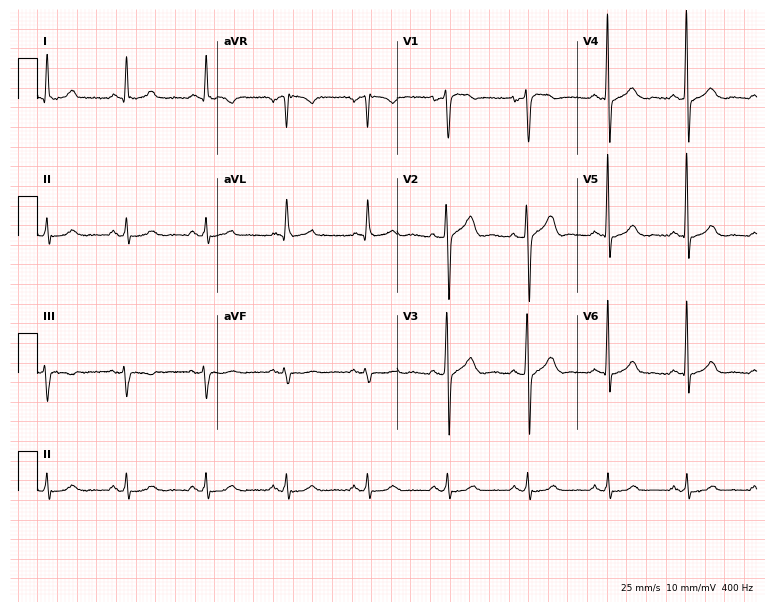
Resting 12-lead electrocardiogram (7.3-second recording at 400 Hz). Patient: a man, 63 years old. None of these six findings is recorded: first-degree AV block, right bundle branch block, left bundle branch block, sinus bradycardia, atrial fibrillation, sinus tachycardia. Findings outside these six are not listed.